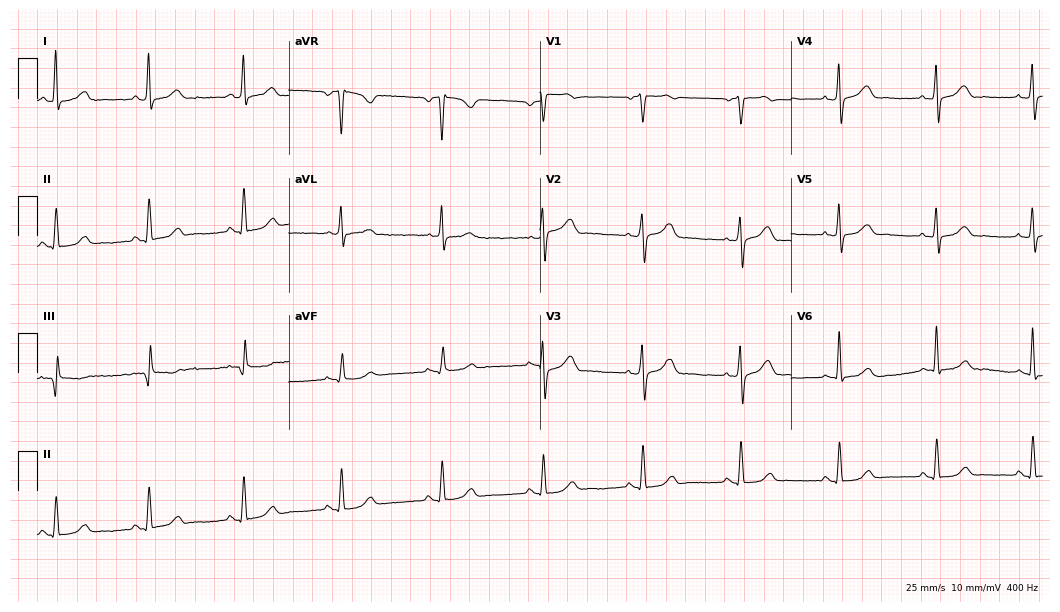
12-lead ECG from a 65-year-old female patient. Recorded interpretation: within normal limits.